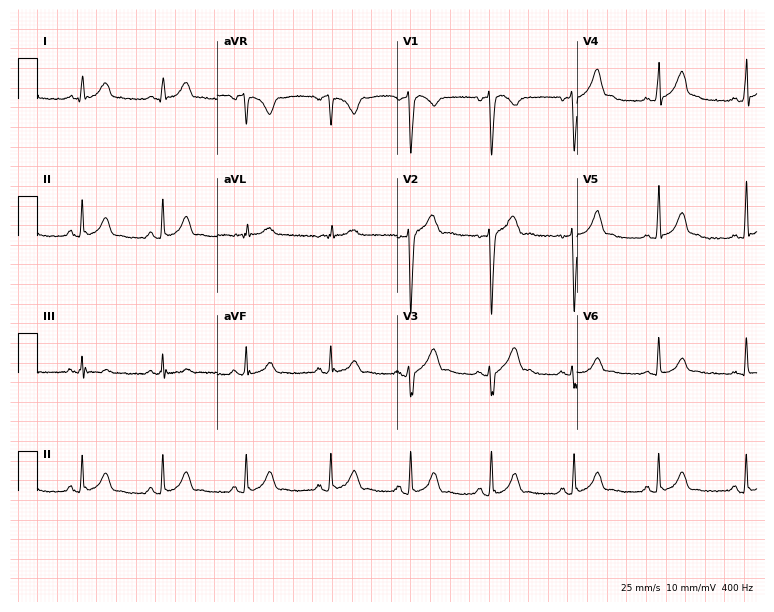
Resting 12-lead electrocardiogram. Patient: a 28-year-old man. Read as a normal ECG.